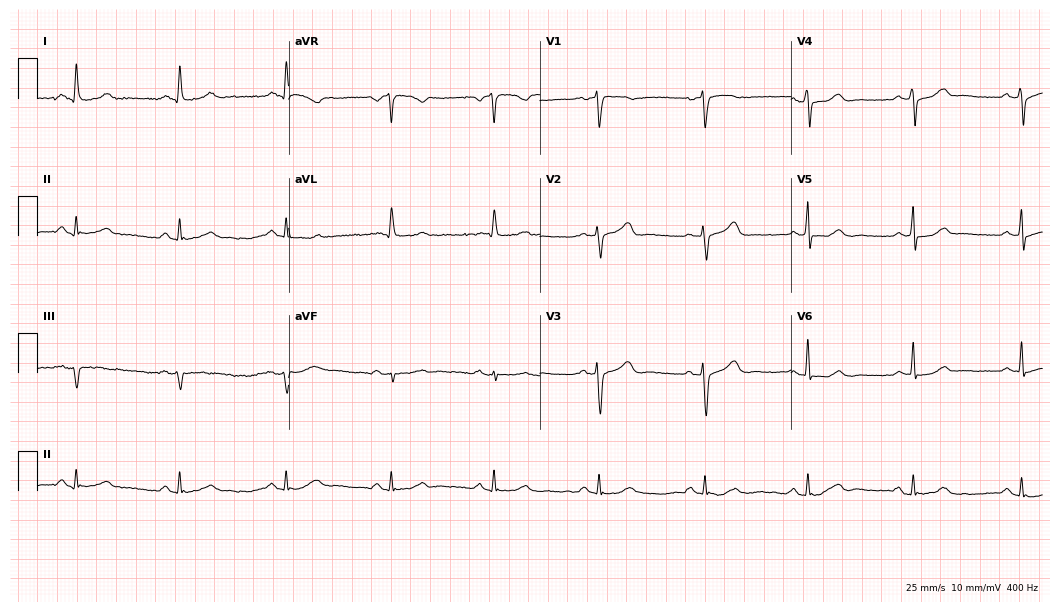
Standard 12-lead ECG recorded from a 62-year-old female patient. Read as a normal ECG.